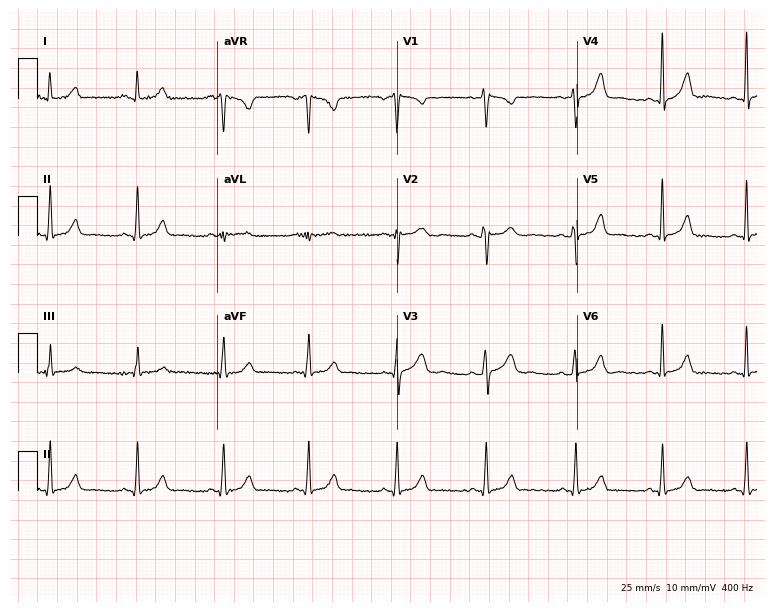
Standard 12-lead ECG recorded from a 20-year-old female (7.3-second recording at 400 Hz). Read as a normal ECG.